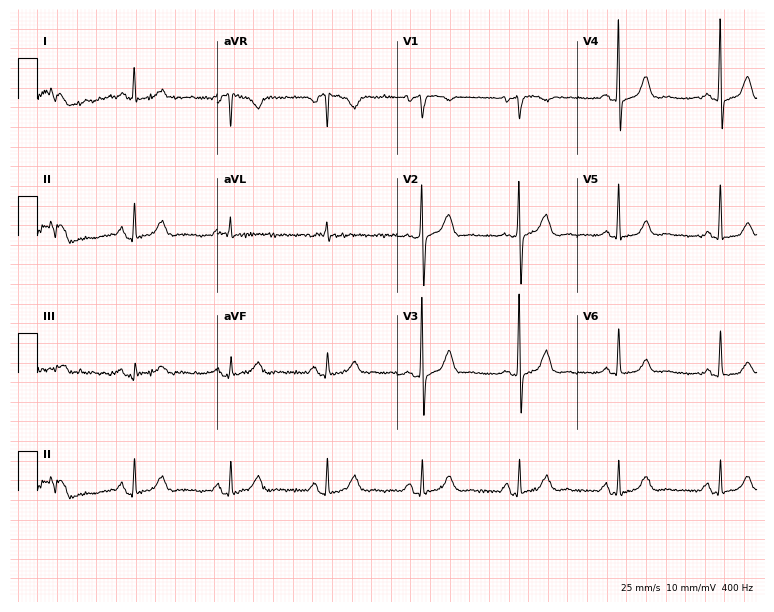
Electrocardiogram (7.3-second recording at 400 Hz), a woman, 68 years old. Of the six screened findings (first-degree AV block, right bundle branch block (RBBB), left bundle branch block (LBBB), sinus bradycardia, atrial fibrillation (AF), sinus tachycardia), none is recorded. Only these six findings were labelled.